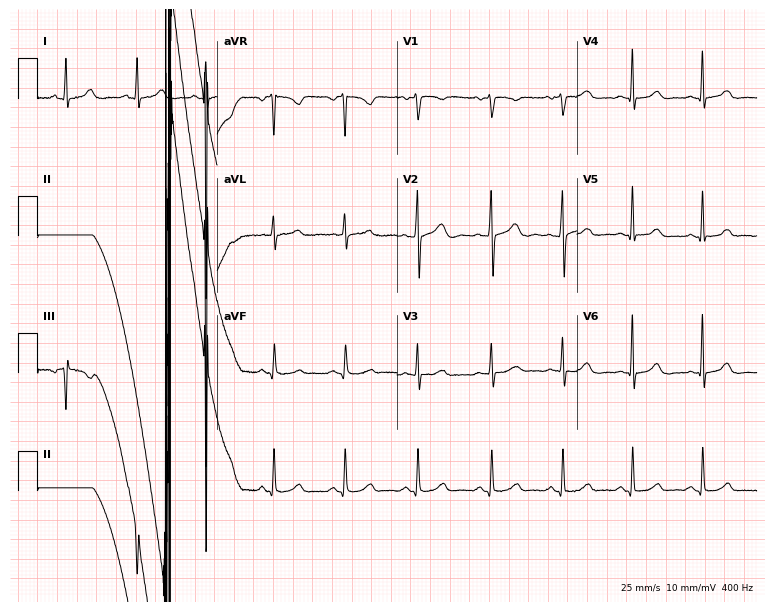
Resting 12-lead electrocardiogram. Patient: a 40-year-old female. Read as a normal ECG.